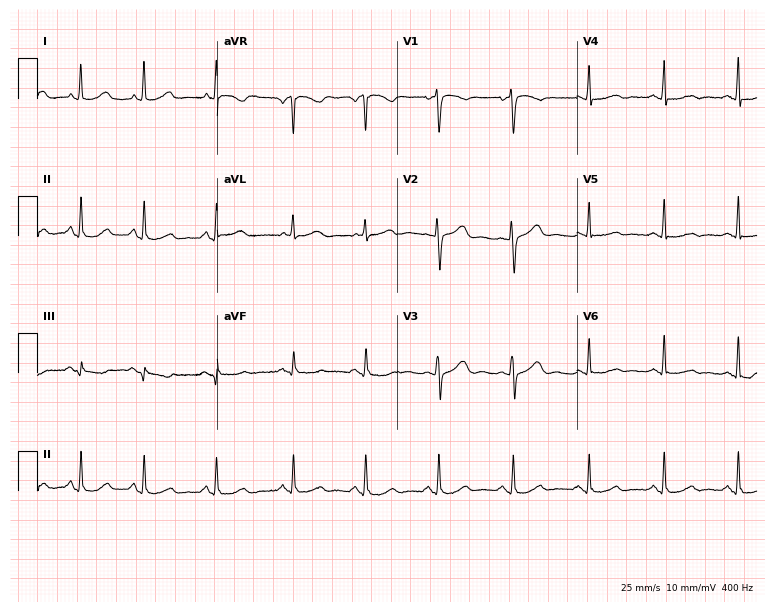
12-lead ECG (7.3-second recording at 400 Hz) from a 49-year-old woman. Labelled as a normal ECG.